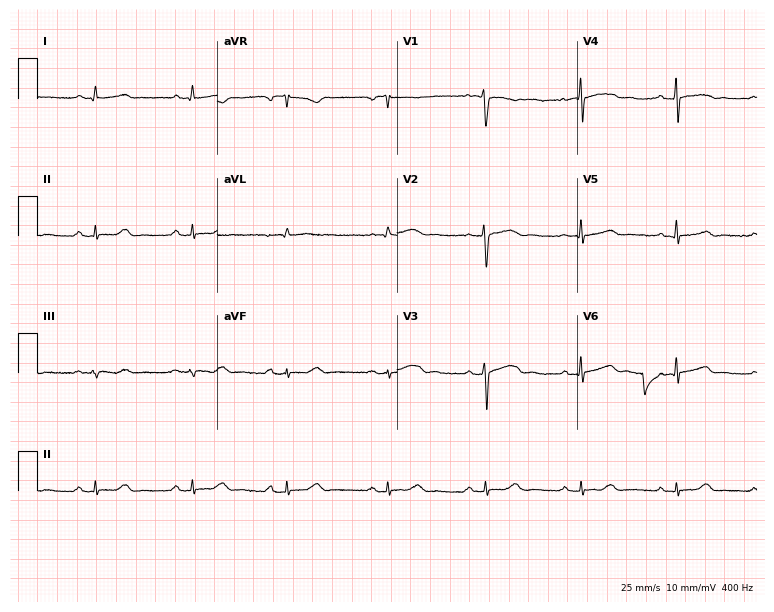
Standard 12-lead ECG recorded from a female patient, 46 years old (7.3-second recording at 400 Hz). Read as a normal ECG.